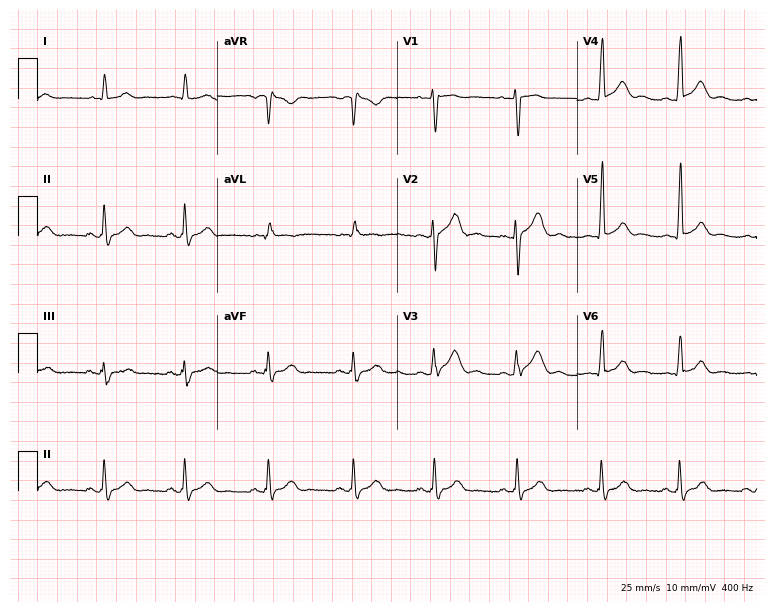
12-lead ECG from a 29-year-old male patient. No first-degree AV block, right bundle branch block (RBBB), left bundle branch block (LBBB), sinus bradycardia, atrial fibrillation (AF) or sinus tachycardia recorded for this tracing. Findings outside these six are not listed.